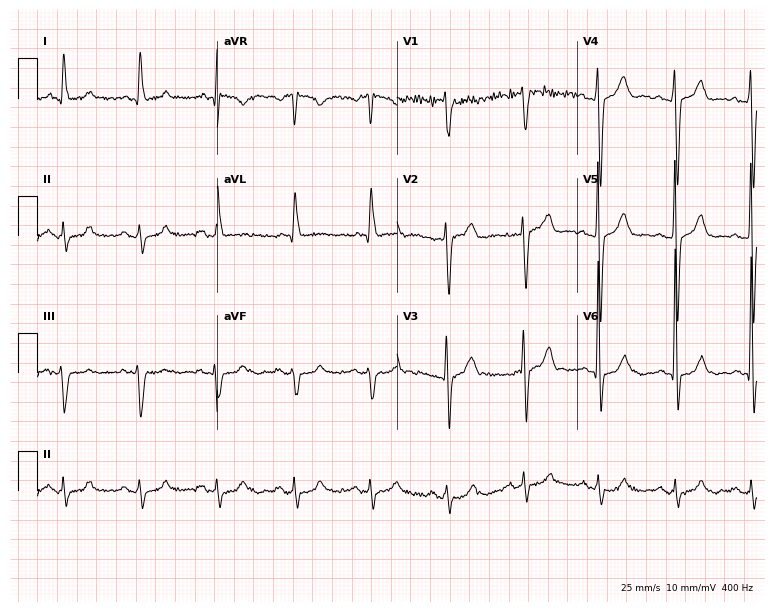
12-lead ECG (7.3-second recording at 400 Hz) from a man, 70 years old. Screened for six findings — first-degree AV block, right bundle branch block, left bundle branch block, sinus bradycardia, atrial fibrillation, sinus tachycardia — none is recorded.